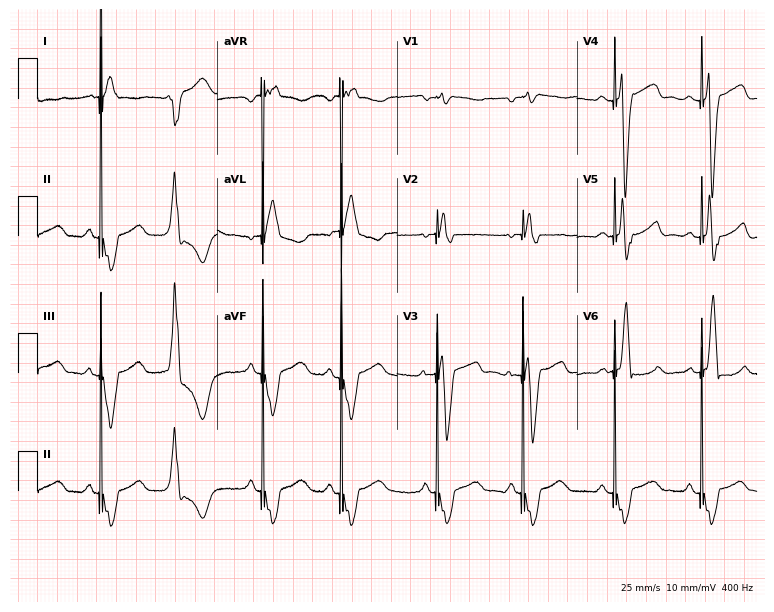
Resting 12-lead electrocardiogram (7.3-second recording at 400 Hz). Patient: a male, 73 years old. None of these six findings is recorded: first-degree AV block, right bundle branch block, left bundle branch block, sinus bradycardia, atrial fibrillation, sinus tachycardia.